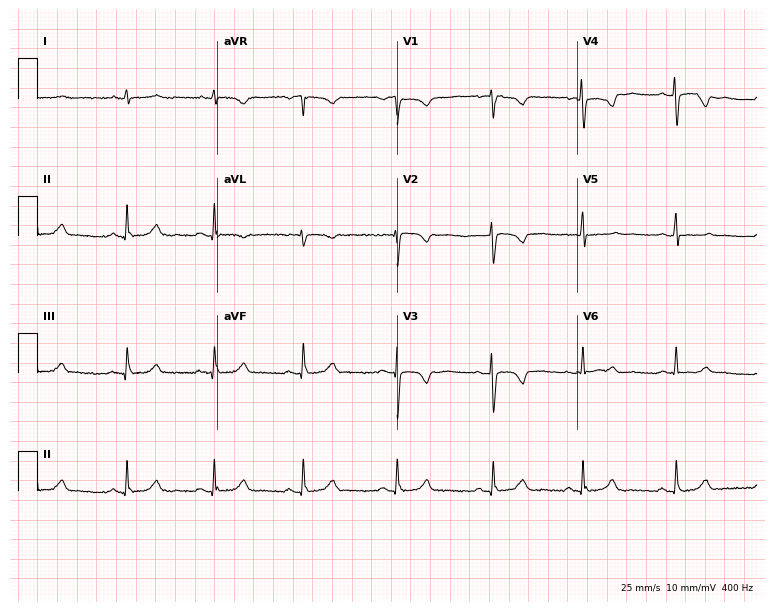
ECG — a 38-year-old female. Labelled as a normal ECG.